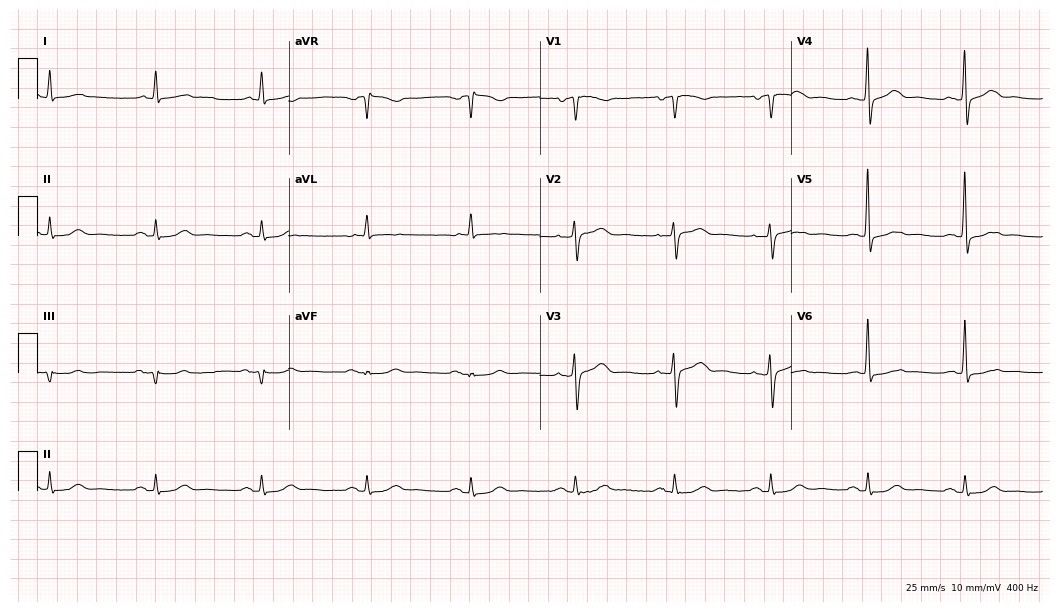
ECG — a 76-year-old male patient. Screened for six findings — first-degree AV block, right bundle branch block, left bundle branch block, sinus bradycardia, atrial fibrillation, sinus tachycardia — none is recorded.